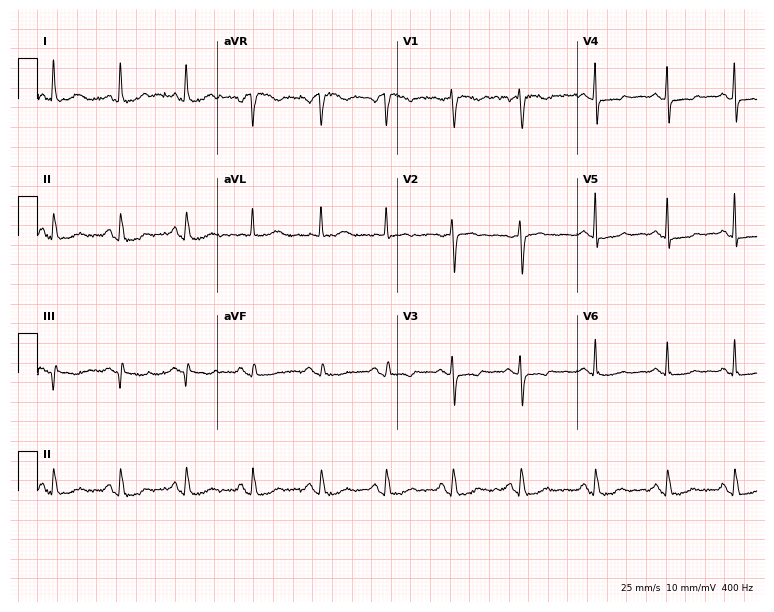
12-lead ECG (7.3-second recording at 400 Hz) from a female, 57 years old. Screened for six findings — first-degree AV block, right bundle branch block, left bundle branch block, sinus bradycardia, atrial fibrillation, sinus tachycardia — none is recorded. Only these six findings were labelled.